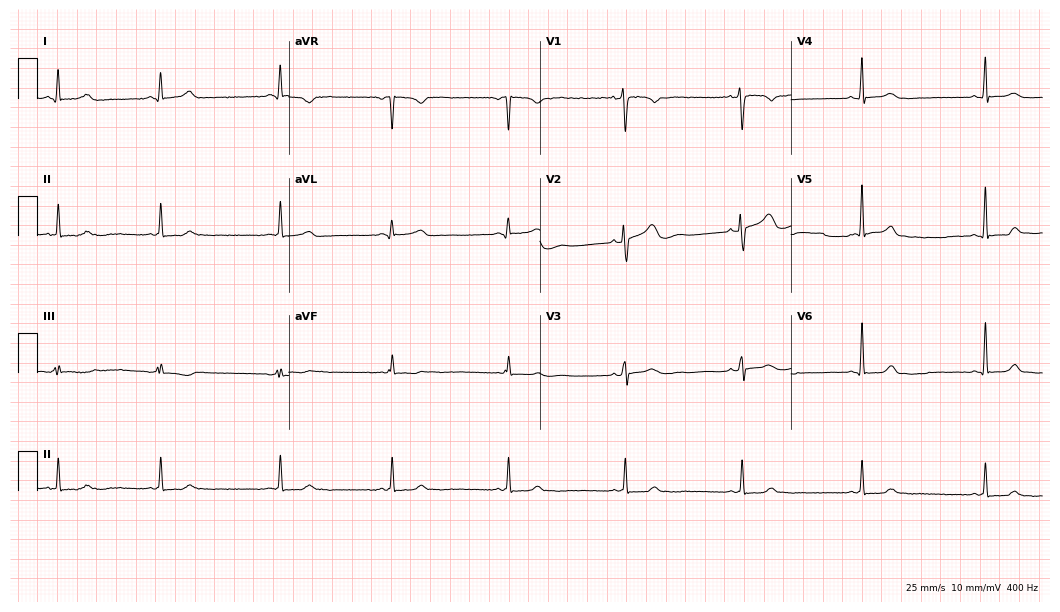
Resting 12-lead electrocardiogram. Patient: a woman, 37 years old. None of these six findings is recorded: first-degree AV block, right bundle branch block, left bundle branch block, sinus bradycardia, atrial fibrillation, sinus tachycardia. Only these six findings were labelled.